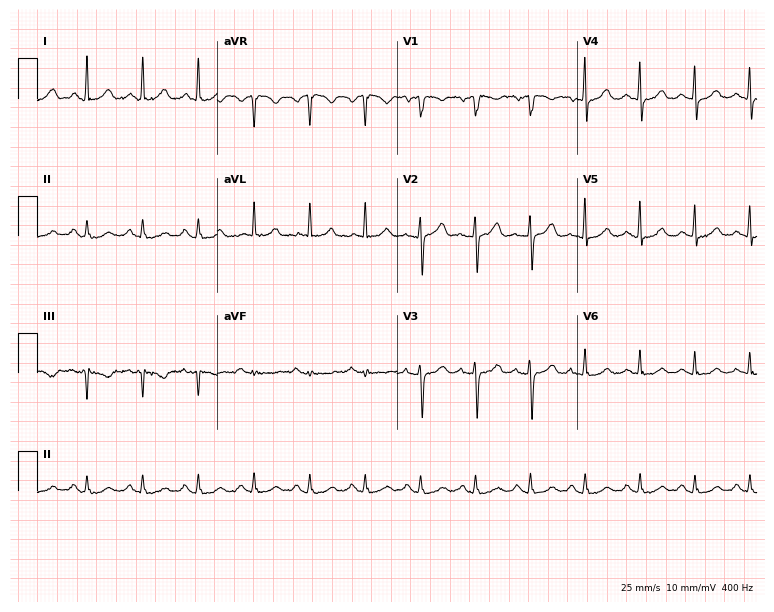
ECG (7.3-second recording at 400 Hz) — a 66-year-old female patient. Findings include sinus tachycardia (a sinus rate of 100 beats per minute or more).